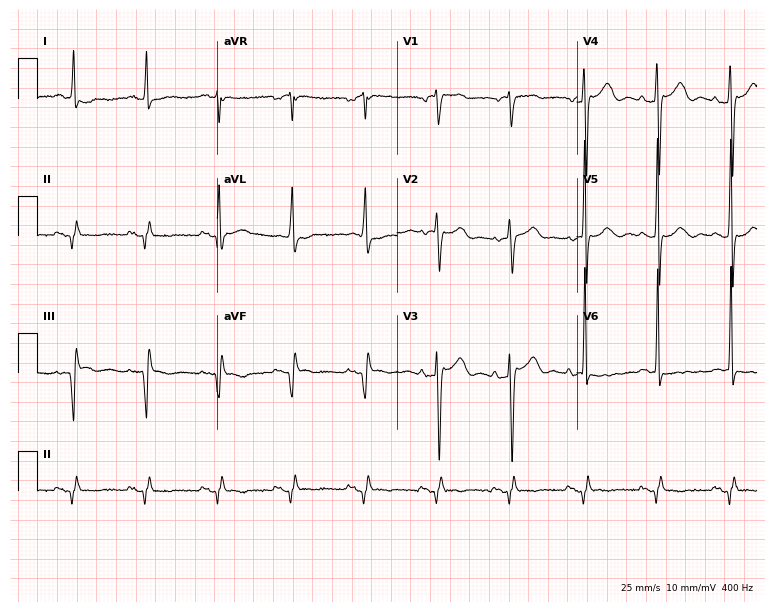
ECG — a 74-year-old male patient. Screened for six findings — first-degree AV block, right bundle branch block, left bundle branch block, sinus bradycardia, atrial fibrillation, sinus tachycardia — none is recorded.